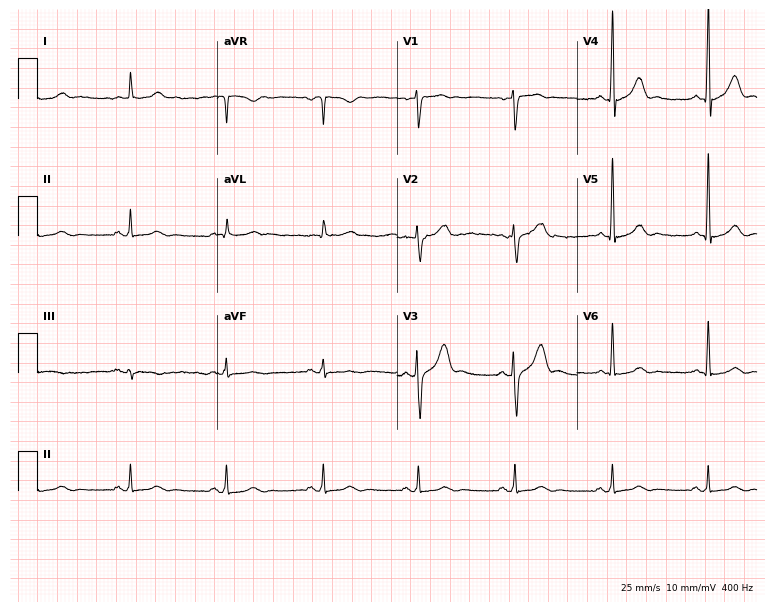
12-lead ECG (7.3-second recording at 400 Hz) from a 57-year-old male. Labelled as a normal ECG.